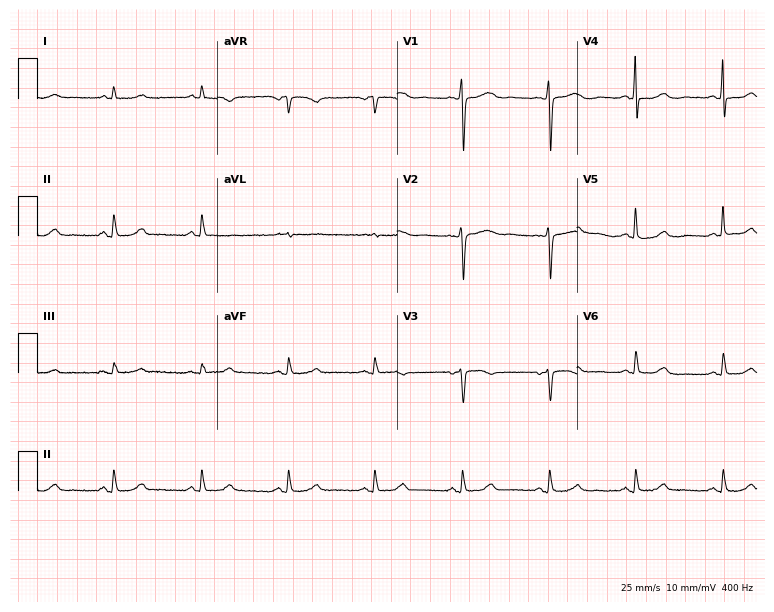
12-lead ECG from a female, 74 years old. Screened for six findings — first-degree AV block, right bundle branch block, left bundle branch block, sinus bradycardia, atrial fibrillation, sinus tachycardia — none is recorded. Findings outside these six are not listed.